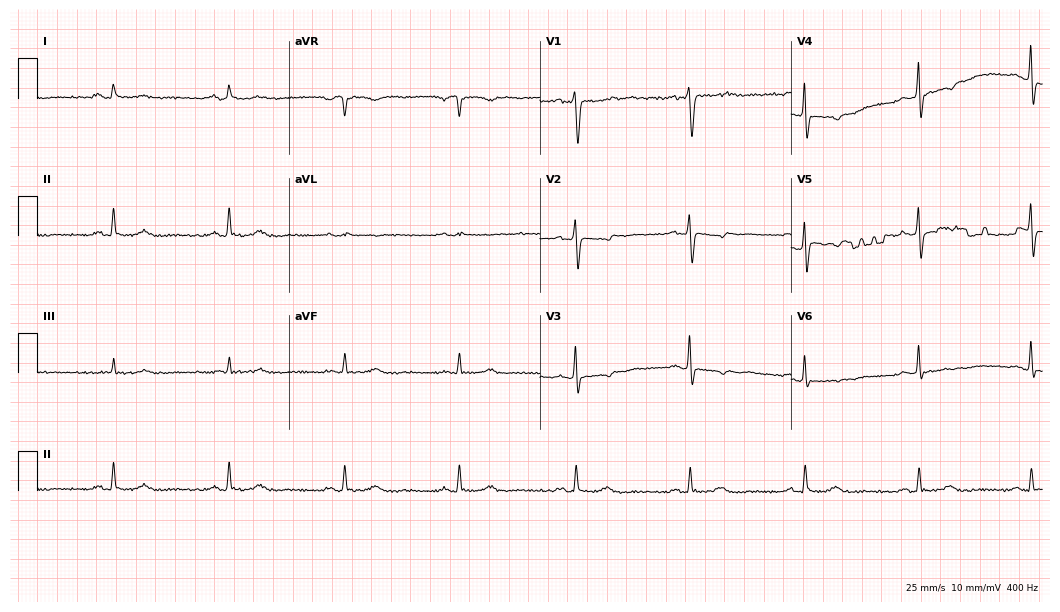
Standard 12-lead ECG recorded from a male, 80 years old (10.2-second recording at 400 Hz). None of these six findings is recorded: first-degree AV block, right bundle branch block, left bundle branch block, sinus bradycardia, atrial fibrillation, sinus tachycardia. Other findings, if any, are not listed.